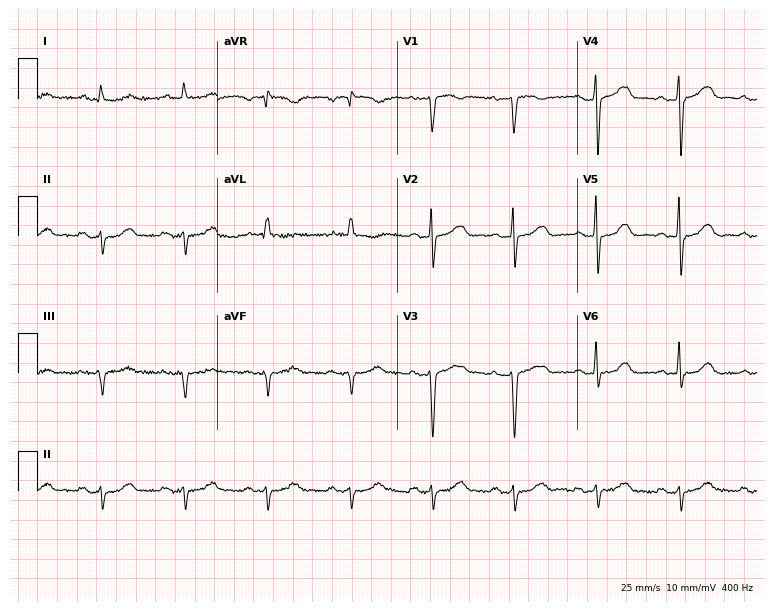
12-lead ECG from a 66-year-old woman. Recorded interpretation: within normal limits.